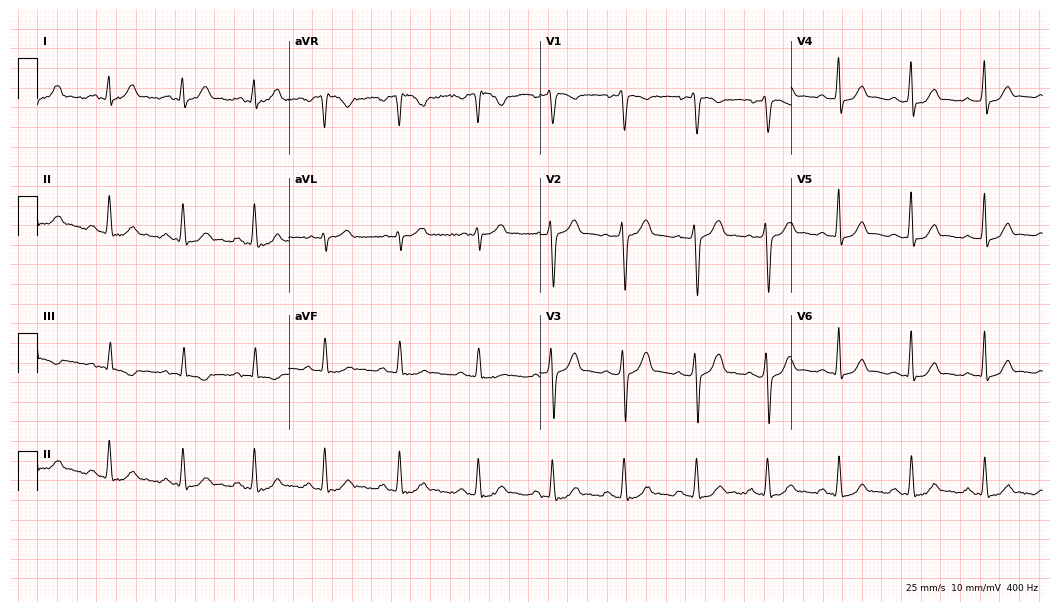
Standard 12-lead ECG recorded from a 25-year-old man. Read as a normal ECG.